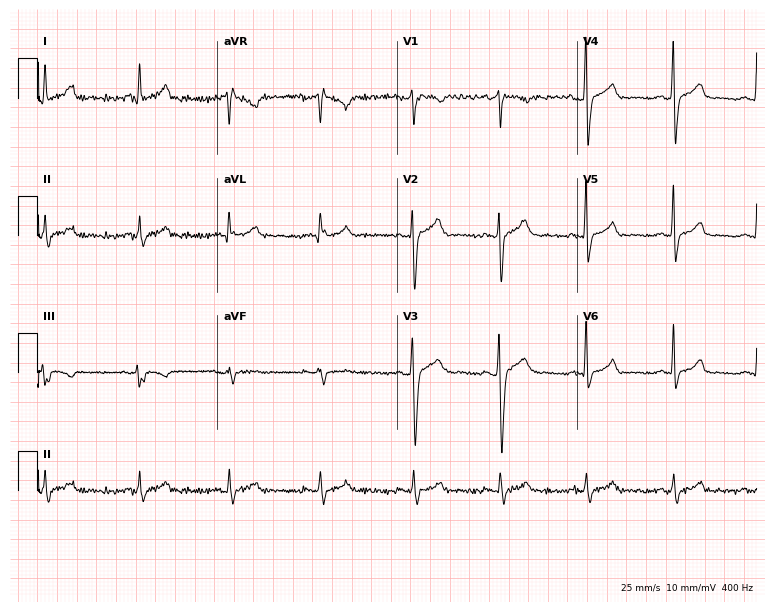
ECG (7.3-second recording at 400 Hz) — a 45-year-old male. Labelled as a normal ECG.